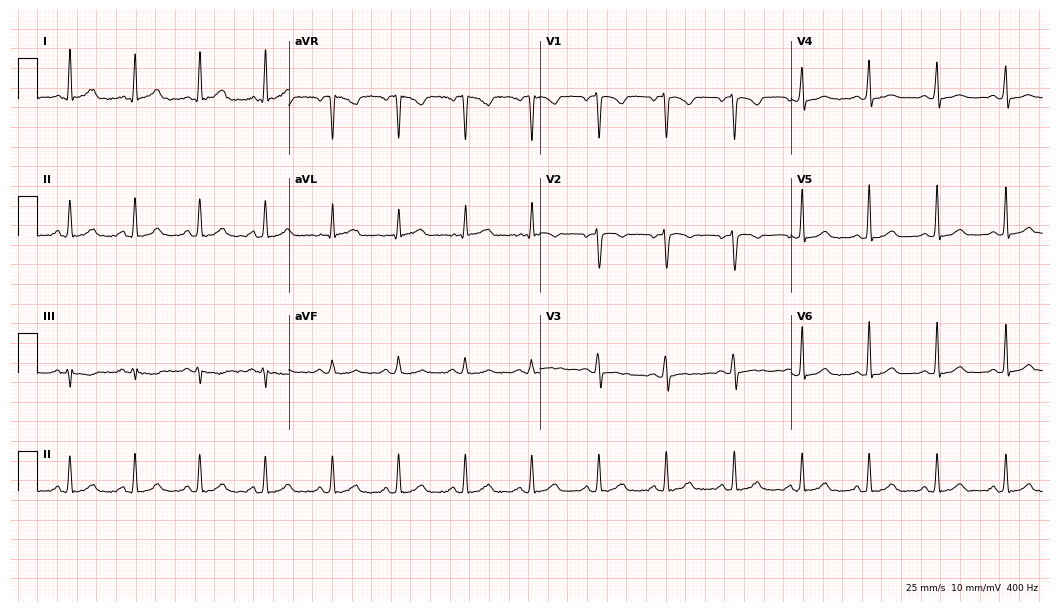
ECG — a woman, 33 years old. Labelled as a normal ECG.